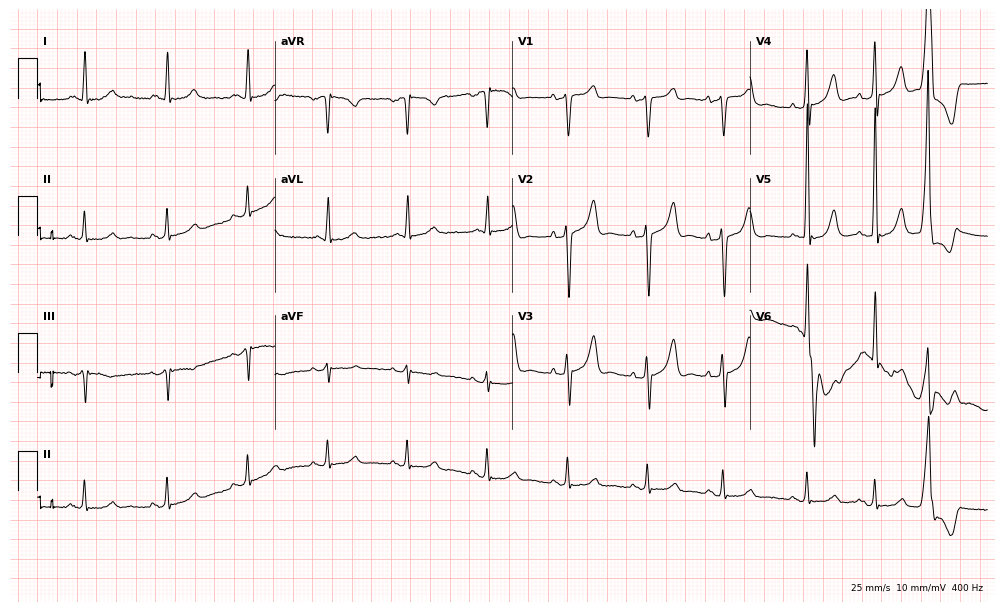
Electrocardiogram (9.7-second recording at 400 Hz), a 73-year-old female patient. Overall reading on record: normal ECG.